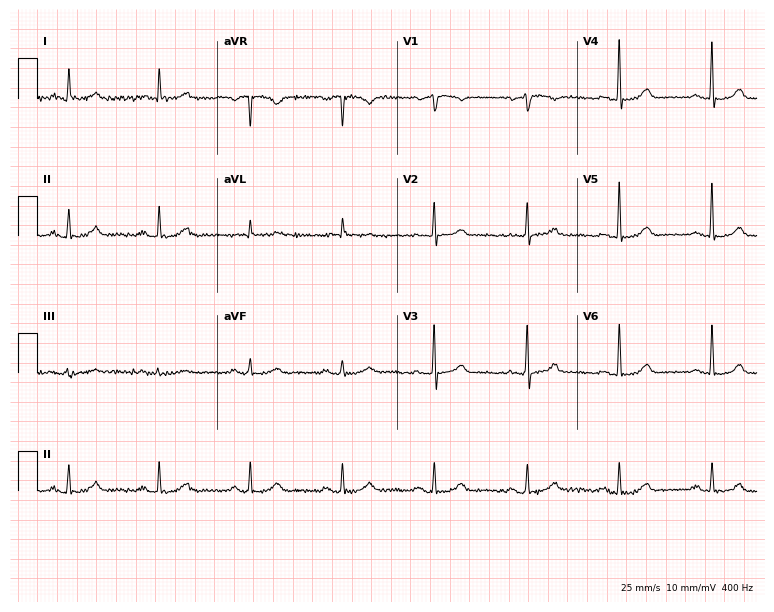
Electrocardiogram (7.3-second recording at 400 Hz), a 77-year-old male. Overall reading on record: normal ECG.